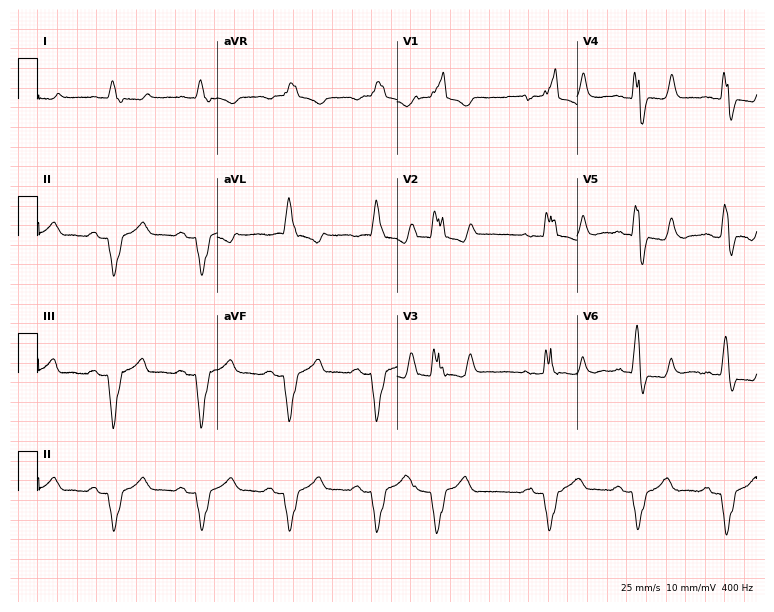
ECG (7.3-second recording at 400 Hz) — a 69-year-old man. Findings include right bundle branch block.